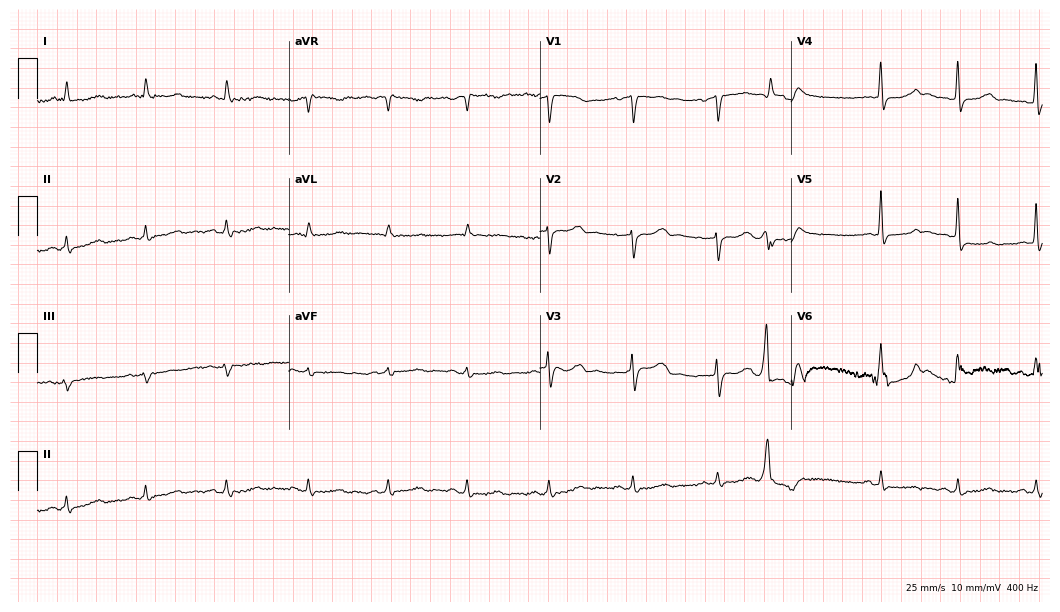
Standard 12-lead ECG recorded from a woman, 68 years old. Read as a normal ECG.